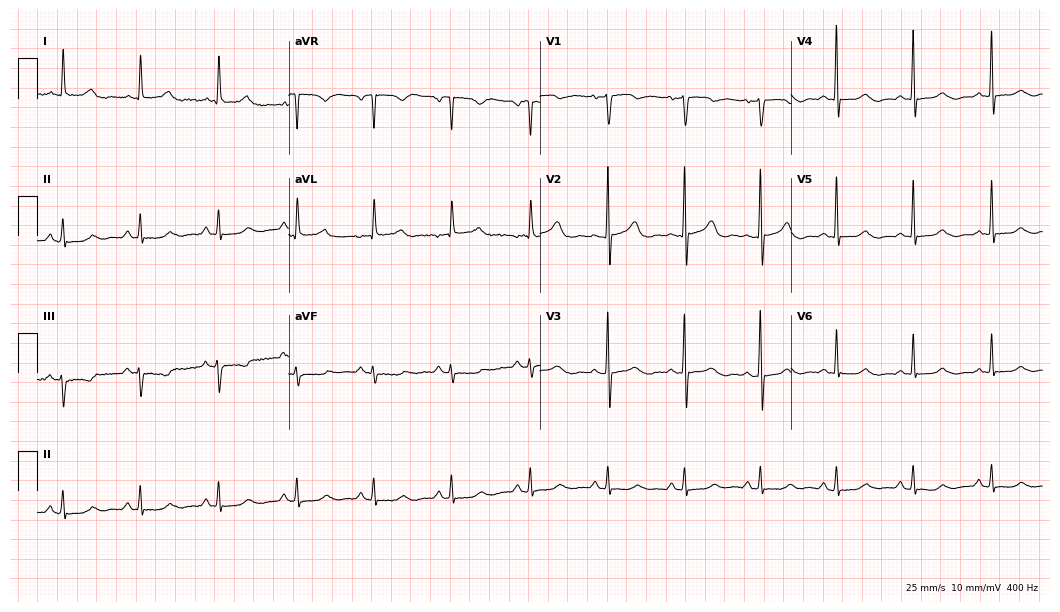
Resting 12-lead electrocardiogram. Patient: a 78-year-old female. Read as a normal ECG.